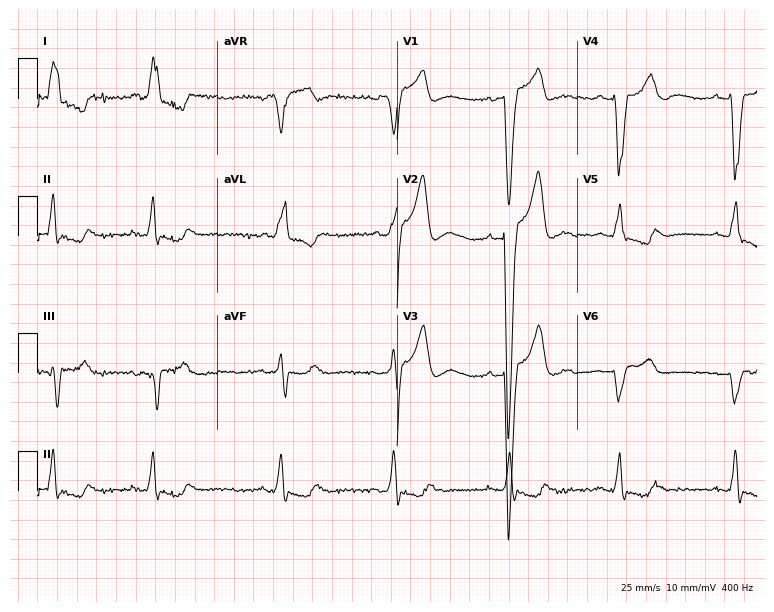
12-lead ECG from a female, 84 years old. Shows left bundle branch block.